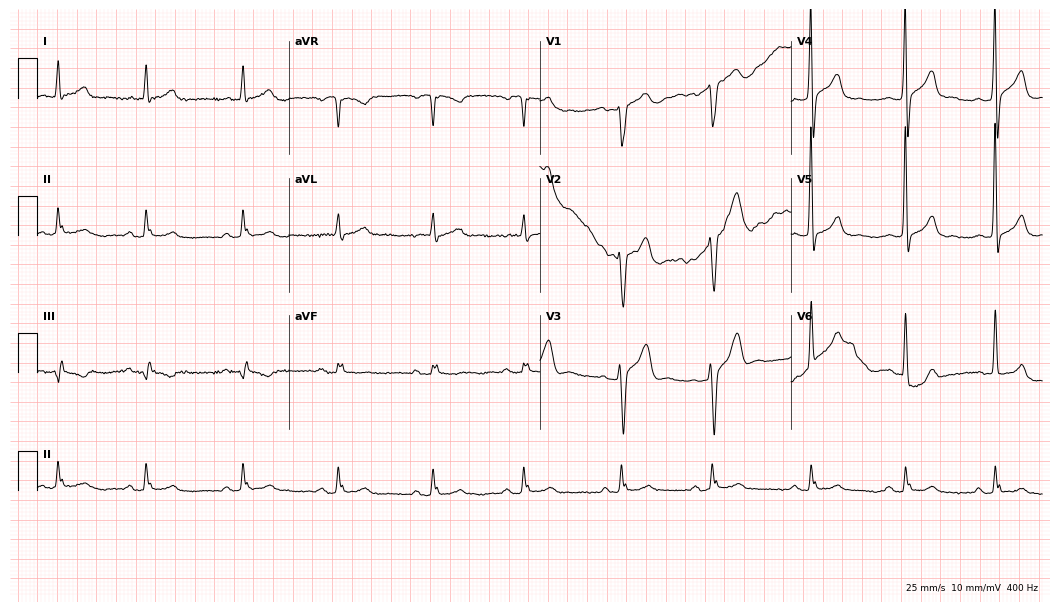
Standard 12-lead ECG recorded from a 62-year-old male patient. None of these six findings is recorded: first-degree AV block, right bundle branch block, left bundle branch block, sinus bradycardia, atrial fibrillation, sinus tachycardia.